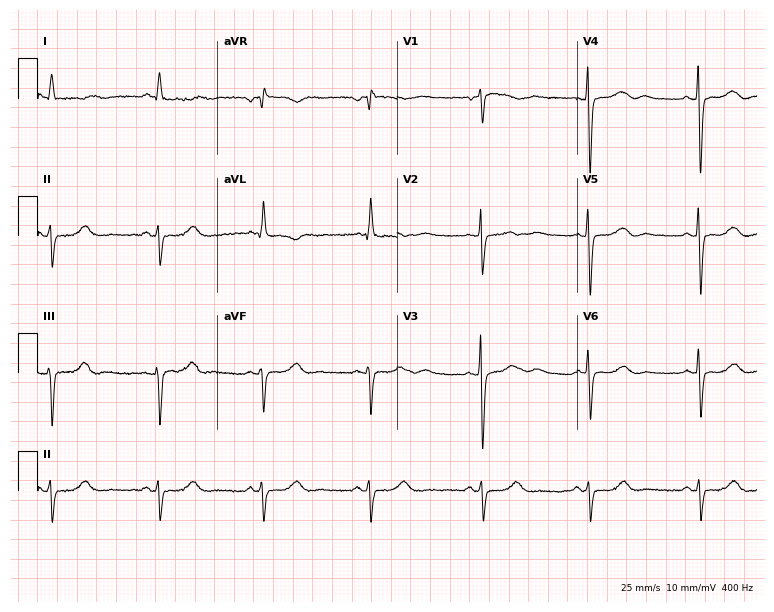
ECG — a woman, 72 years old. Screened for six findings — first-degree AV block, right bundle branch block, left bundle branch block, sinus bradycardia, atrial fibrillation, sinus tachycardia — none is recorded.